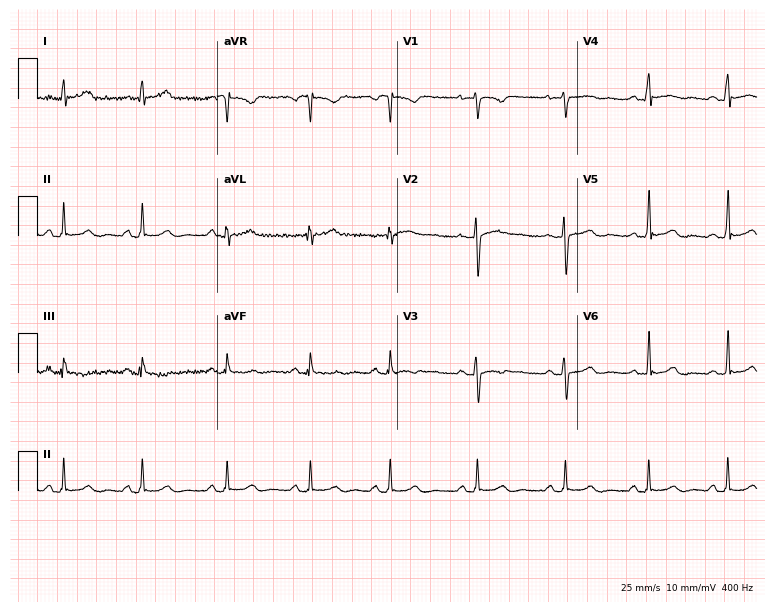
12-lead ECG (7.3-second recording at 400 Hz) from a 21-year-old female patient. Labelled as a normal ECG.